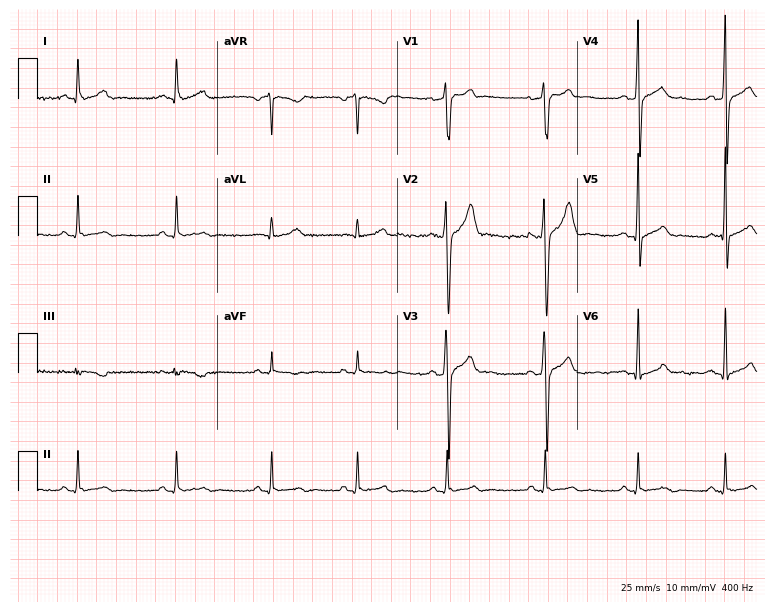
Standard 12-lead ECG recorded from a man, 30 years old. None of these six findings is recorded: first-degree AV block, right bundle branch block, left bundle branch block, sinus bradycardia, atrial fibrillation, sinus tachycardia.